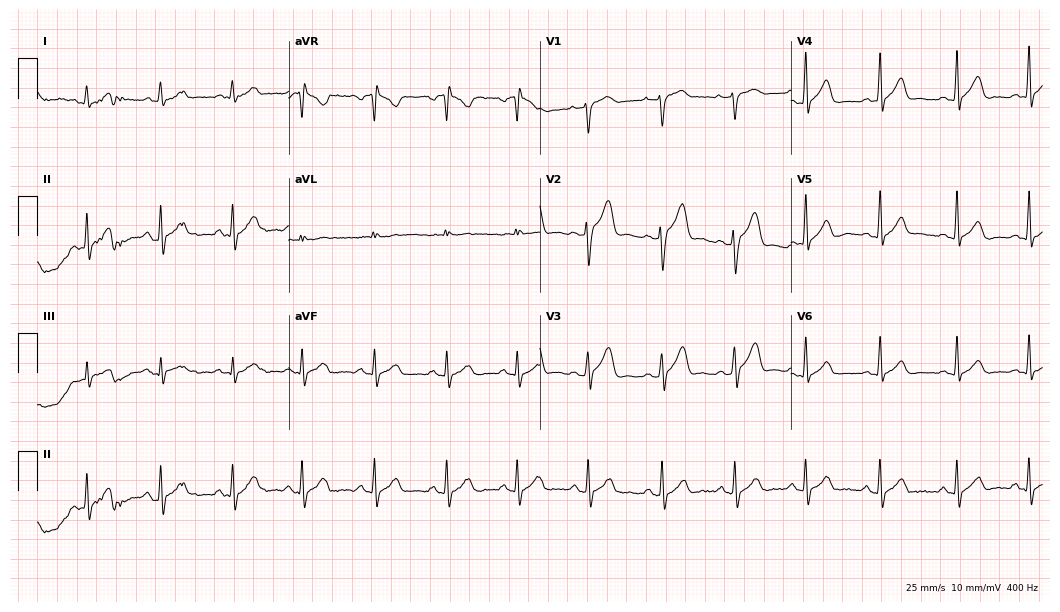
12-lead ECG from a male patient, 21 years old (10.2-second recording at 400 Hz). Recorded interpretation: within normal limits.